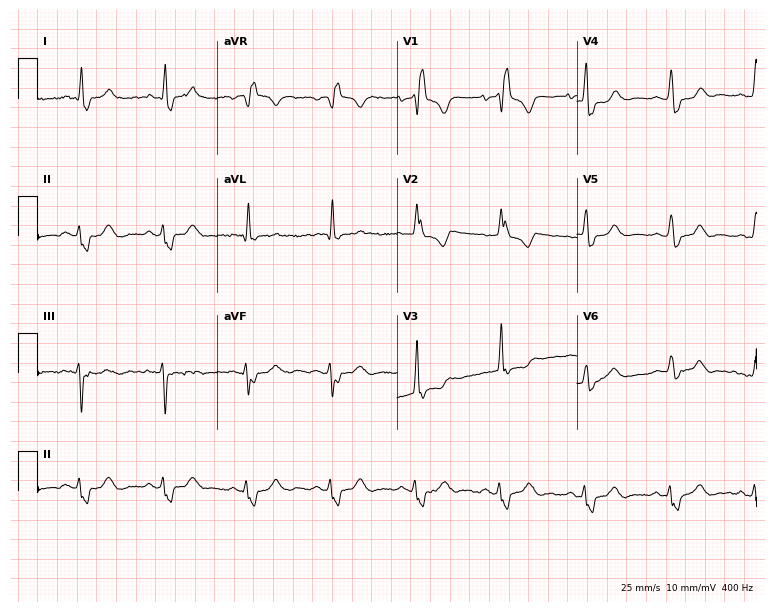
12-lead ECG from a female, 57 years old. Findings include right bundle branch block.